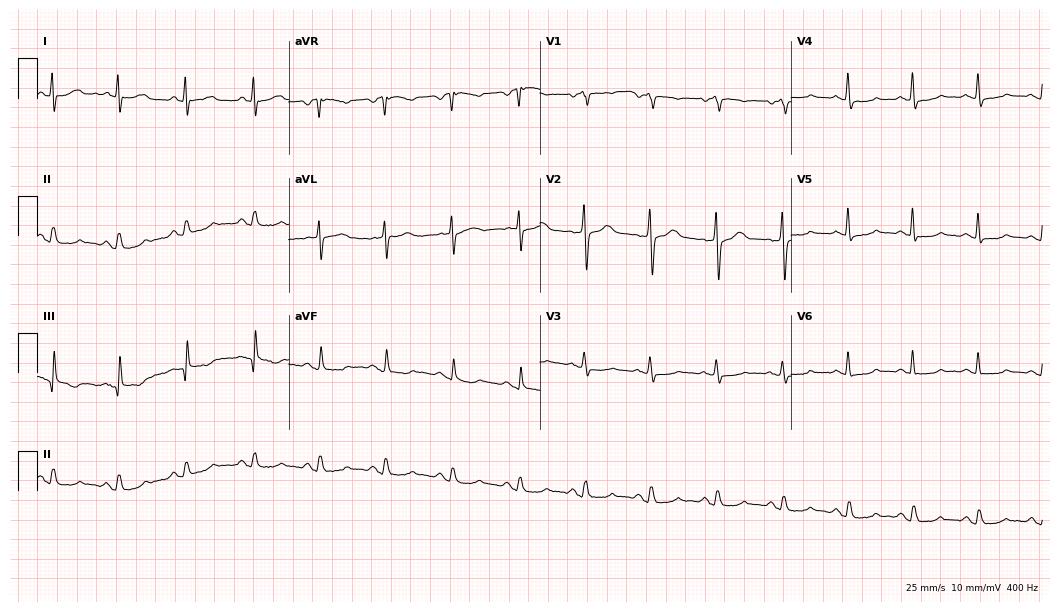
12-lead ECG from a female patient, 61 years old. Screened for six findings — first-degree AV block, right bundle branch block, left bundle branch block, sinus bradycardia, atrial fibrillation, sinus tachycardia — none is recorded. Other findings, if any, are not listed.